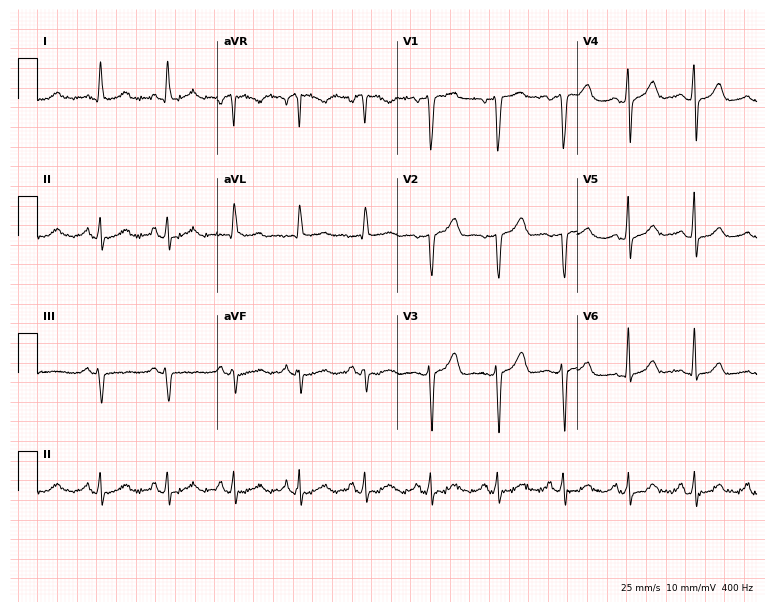
Standard 12-lead ECG recorded from a 47-year-old female (7.3-second recording at 400 Hz). None of these six findings is recorded: first-degree AV block, right bundle branch block, left bundle branch block, sinus bradycardia, atrial fibrillation, sinus tachycardia. Only these six findings were labelled.